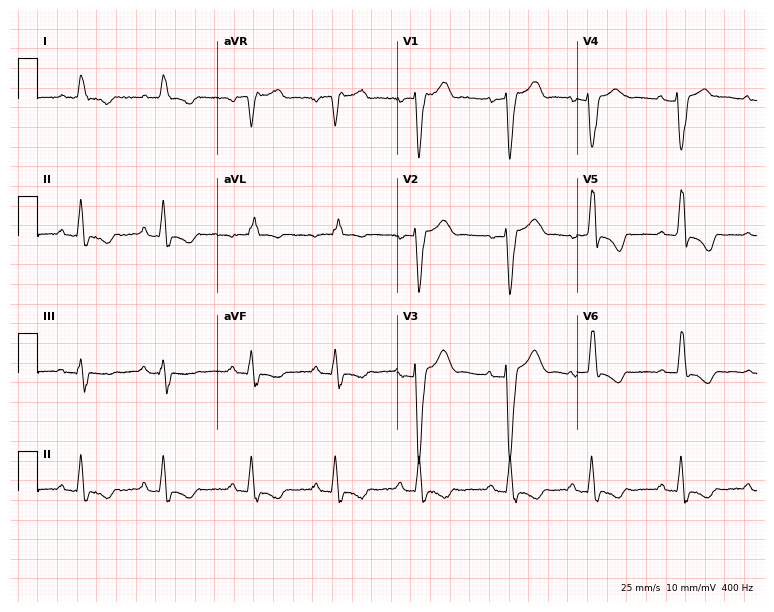
Resting 12-lead electrocardiogram. Patient: a 69-year-old female. The tracing shows left bundle branch block (LBBB).